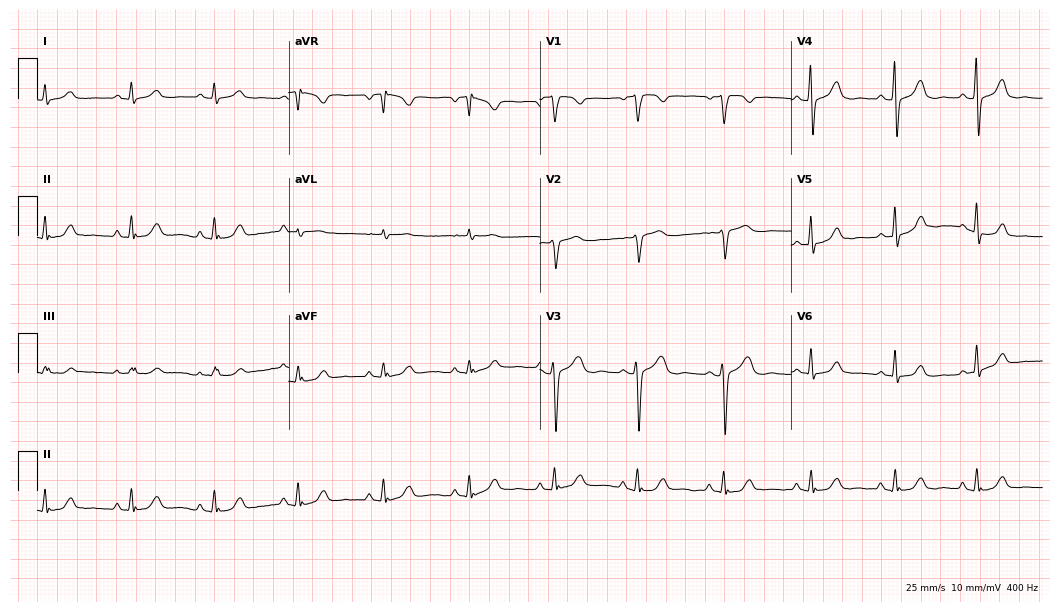
12-lead ECG from a woman, 42 years old. Recorded interpretation: within normal limits.